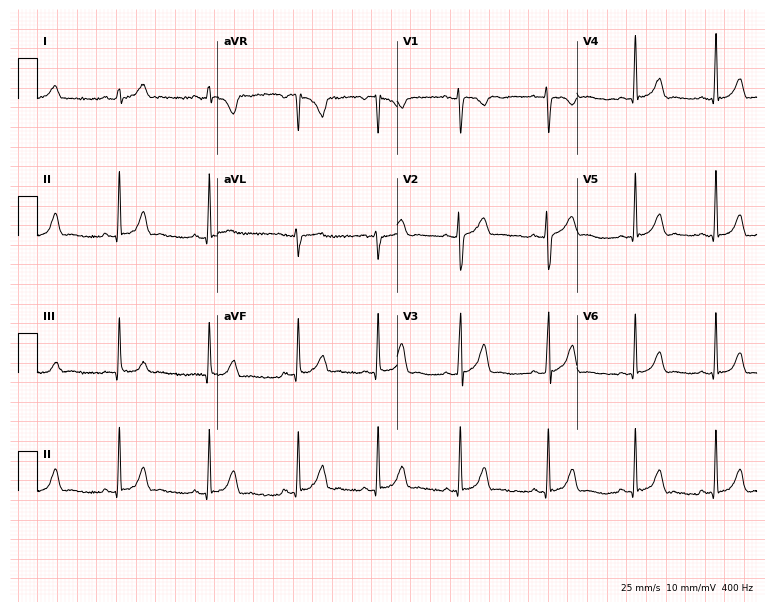
Resting 12-lead electrocardiogram (7.3-second recording at 400 Hz). Patient: a 17-year-old female. Read as a normal ECG.